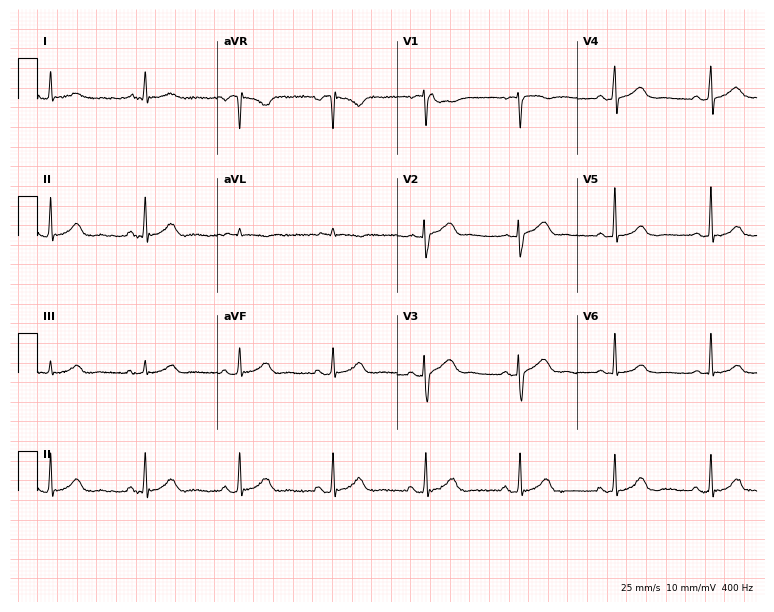
Resting 12-lead electrocardiogram (7.3-second recording at 400 Hz). Patient: a 52-year-old woman. Read as a normal ECG.